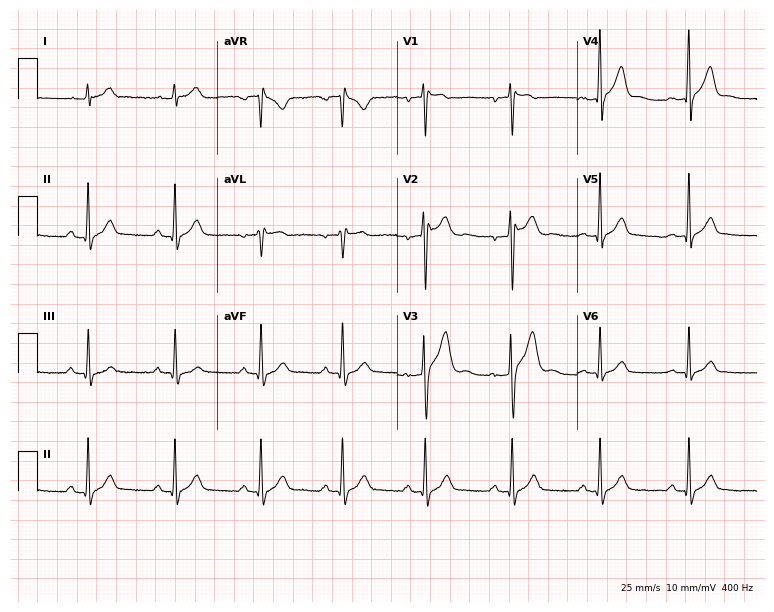
12-lead ECG from a 28-year-old man. Recorded interpretation: within normal limits.